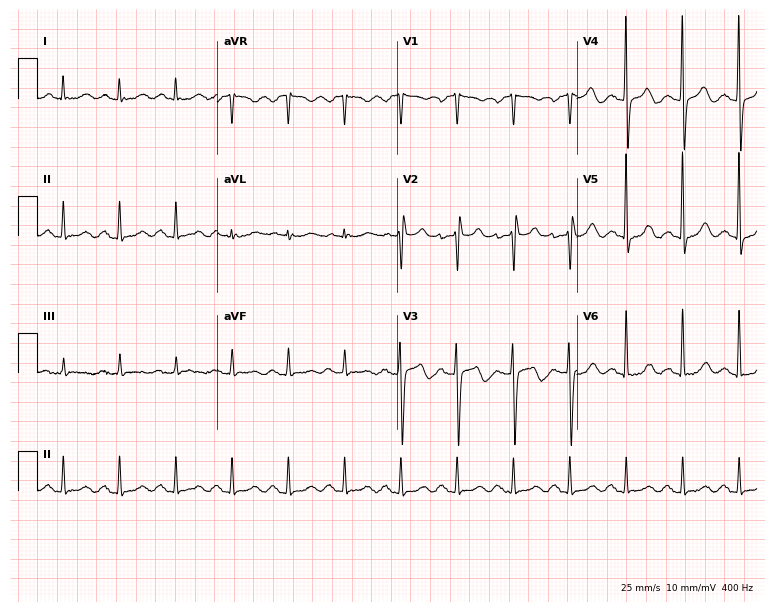
Electrocardiogram, a 75-year-old man. Interpretation includes sinus tachycardia (a sinus rate of 100 beats per minute or more).